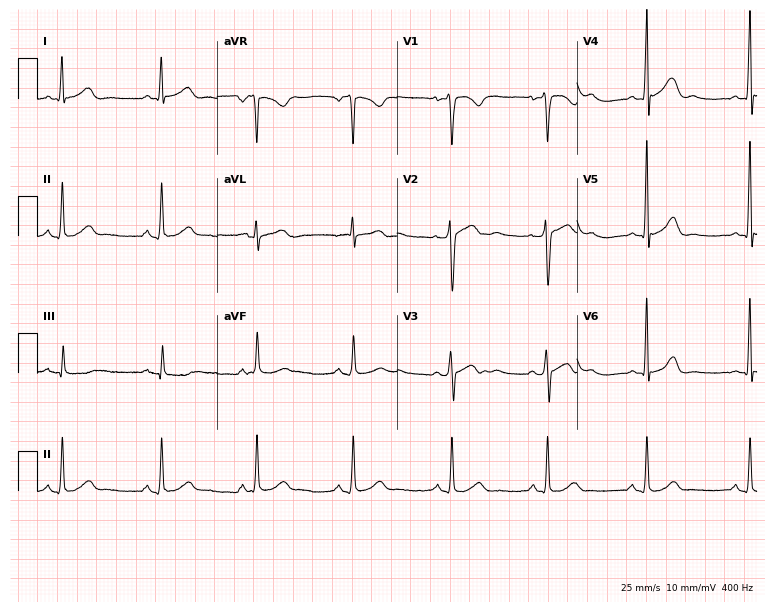
Resting 12-lead electrocardiogram (7.3-second recording at 400 Hz). Patient: a 32-year-old woman. Read as a normal ECG.